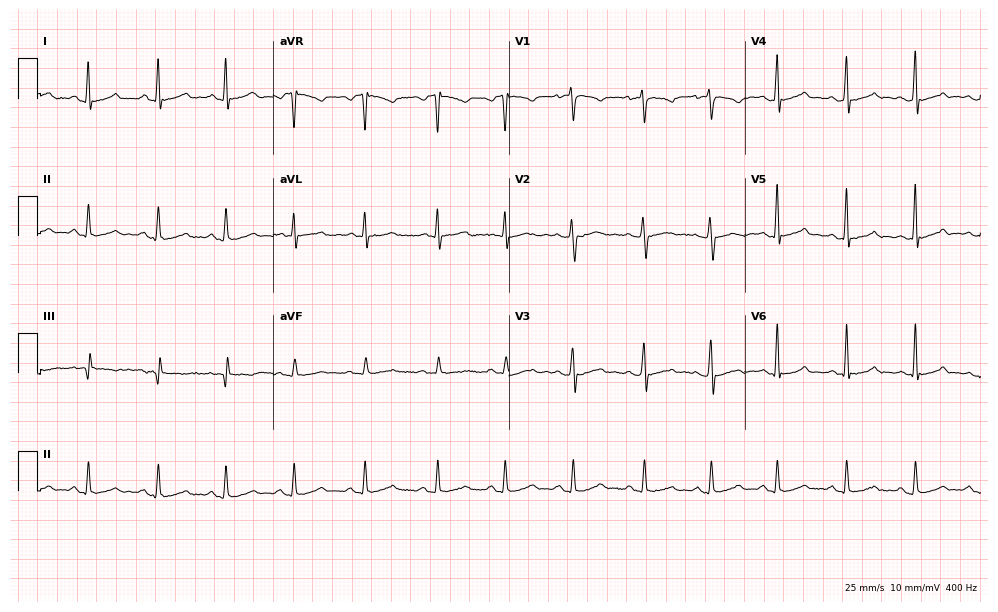
Resting 12-lead electrocardiogram. Patient: a female, 25 years old. None of these six findings is recorded: first-degree AV block, right bundle branch block, left bundle branch block, sinus bradycardia, atrial fibrillation, sinus tachycardia. Findings outside these six are not listed.